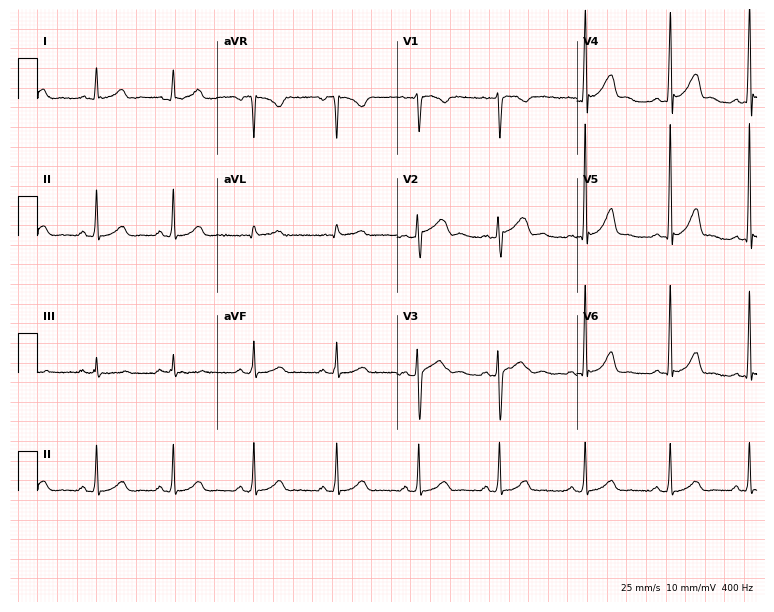
12-lead ECG (7.3-second recording at 400 Hz) from a 29-year-old female patient. Labelled as a normal ECG.